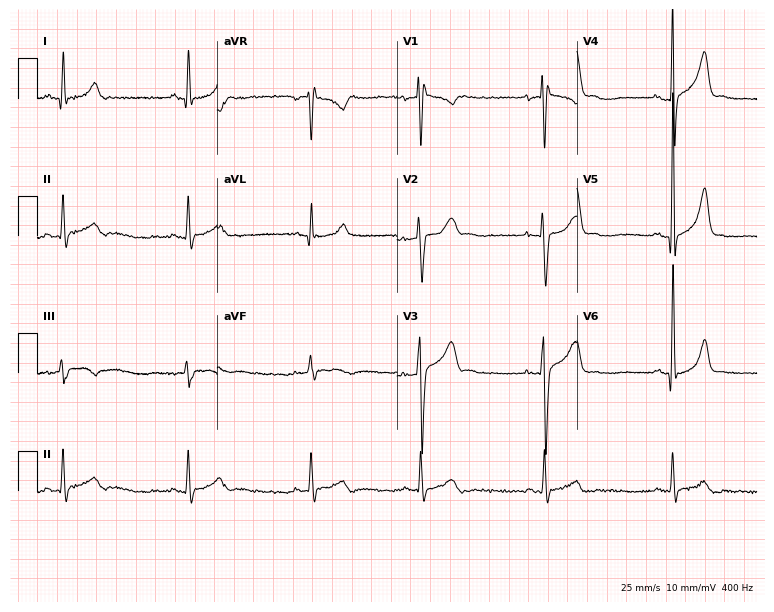
12-lead ECG from a male patient, 18 years old. Findings include sinus bradycardia (a sinus rate of 50 beats per minute or less).